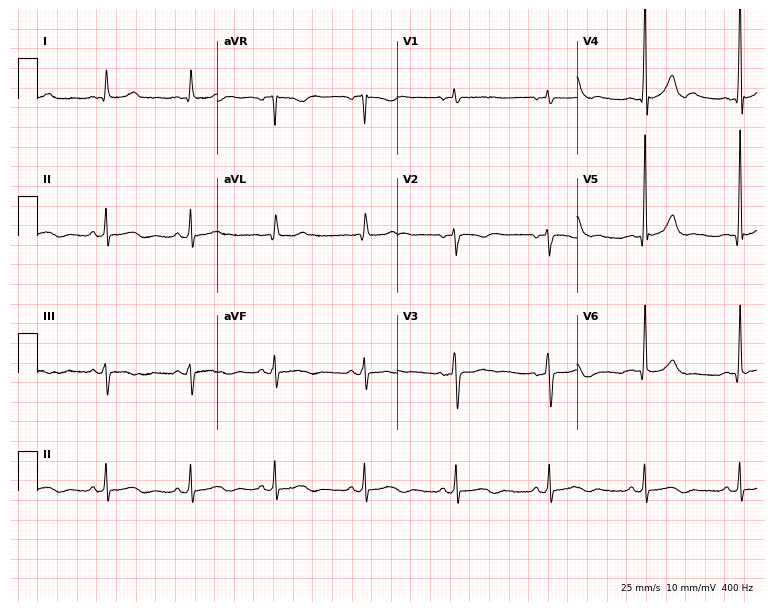
Standard 12-lead ECG recorded from a man, 52 years old (7.3-second recording at 400 Hz). None of these six findings is recorded: first-degree AV block, right bundle branch block, left bundle branch block, sinus bradycardia, atrial fibrillation, sinus tachycardia. Only these six findings were labelled.